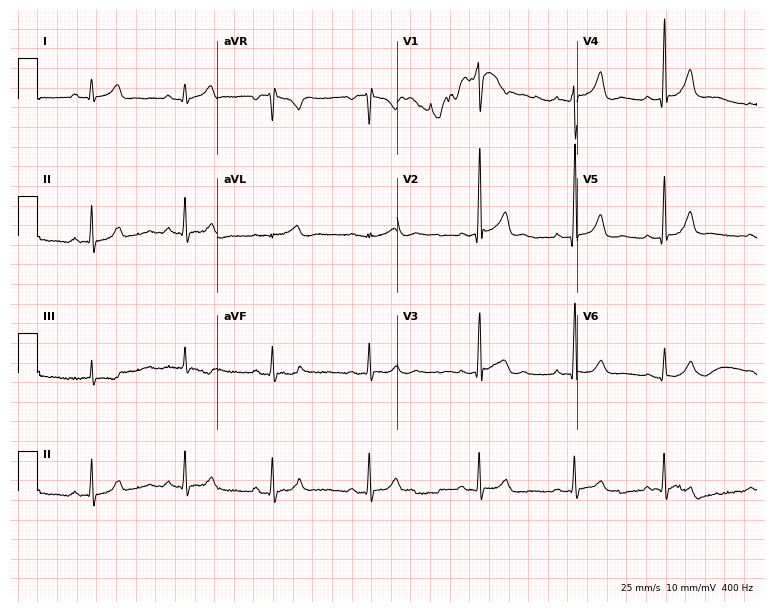
Electrocardiogram, a 20-year-old man. Overall reading on record: normal ECG.